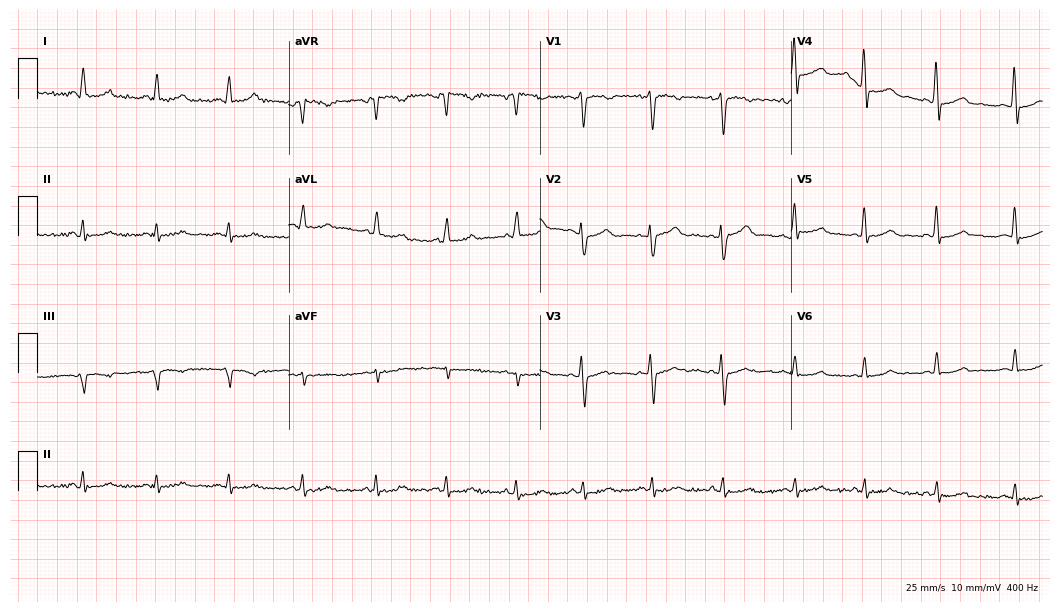
Standard 12-lead ECG recorded from a female, 49 years old. None of these six findings is recorded: first-degree AV block, right bundle branch block, left bundle branch block, sinus bradycardia, atrial fibrillation, sinus tachycardia.